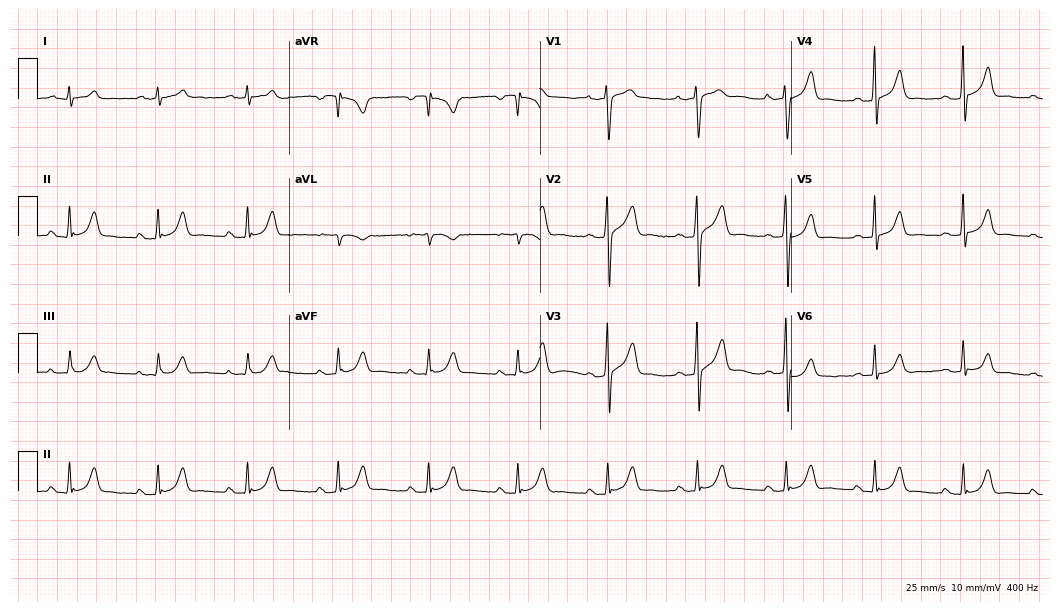
12-lead ECG from a 59-year-old man. Labelled as a normal ECG.